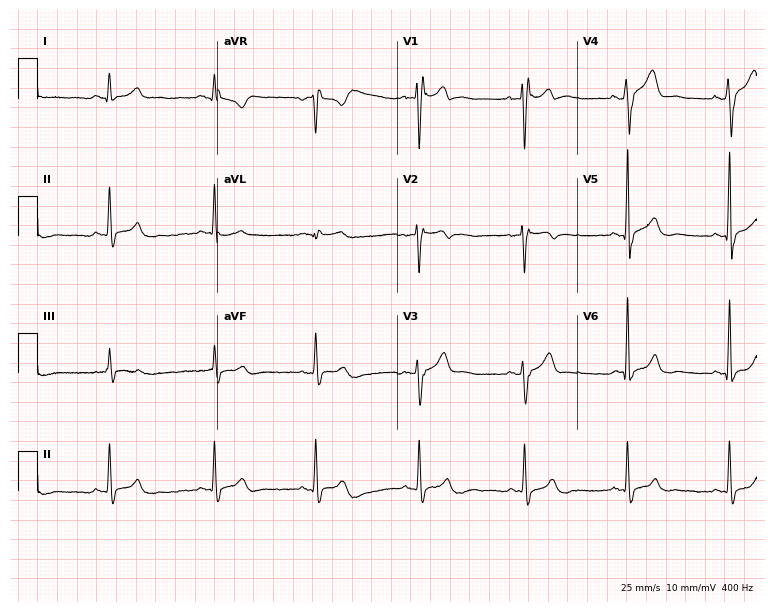
ECG (7.3-second recording at 400 Hz) — a 35-year-old male. Screened for six findings — first-degree AV block, right bundle branch block, left bundle branch block, sinus bradycardia, atrial fibrillation, sinus tachycardia — none is recorded. Findings outside these six are not listed.